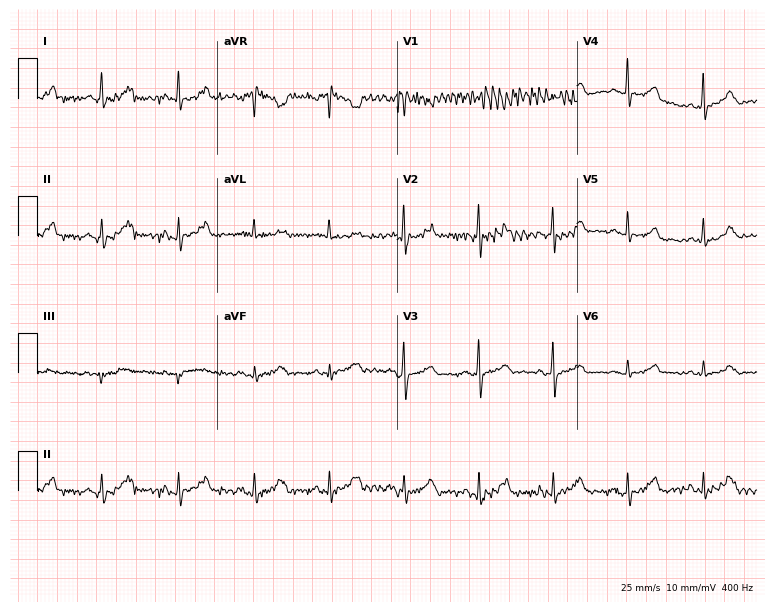
Standard 12-lead ECG recorded from a female, 57 years old (7.3-second recording at 400 Hz). None of these six findings is recorded: first-degree AV block, right bundle branch block, left bundle branch block, sinus bradycardia, atrial fibrillation, sinus tachycardia.